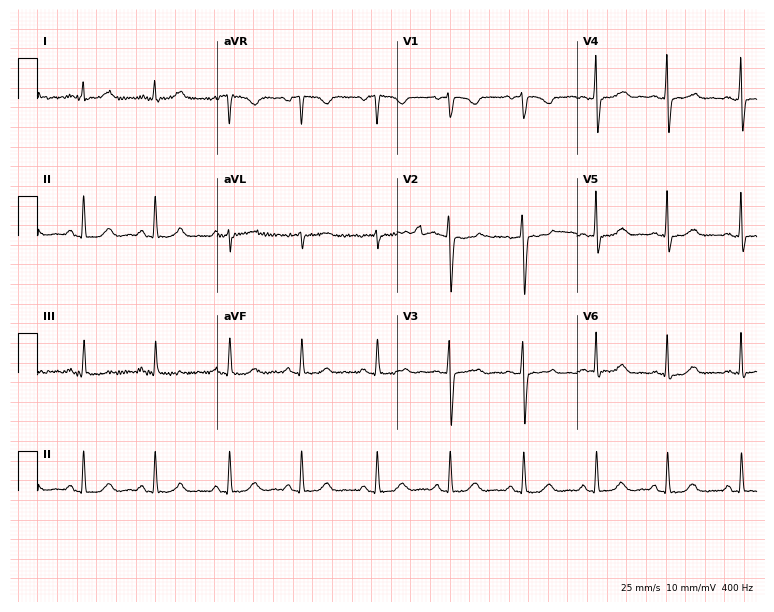
Electrocardiogram (7.3-second recording at 400 Hz), a 41-year-old female. Of the six screened findings (first-degree AV block, right bundle branch block, left bundle branch block, sinus bradycardia, atrial fibrillation, sinus tachycardia), none is recorded. Other findings, if any, are not listed.